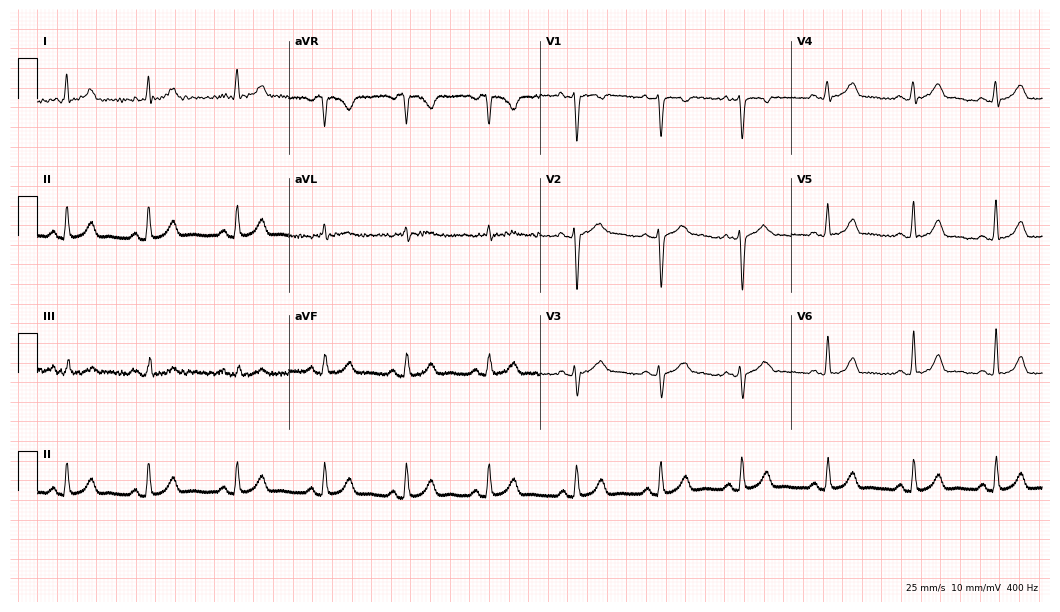
12-lead ECG (10.2-second recording at 400 Hz) from a female patient, 29 years old. Labelled as a normal ECG.